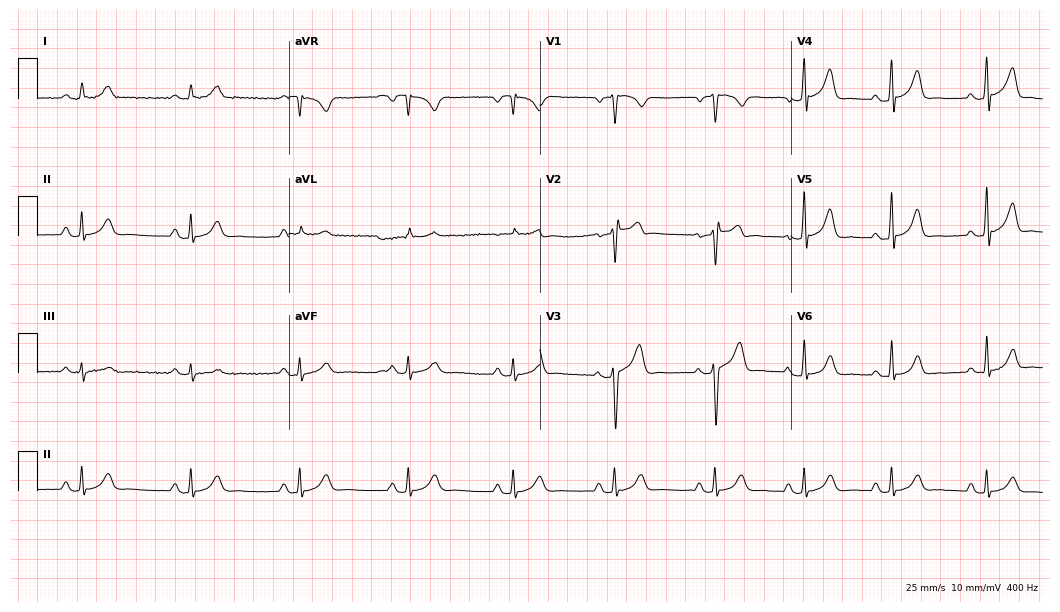
ECG — a male, 48 years old. Labelled as a normal ECG.